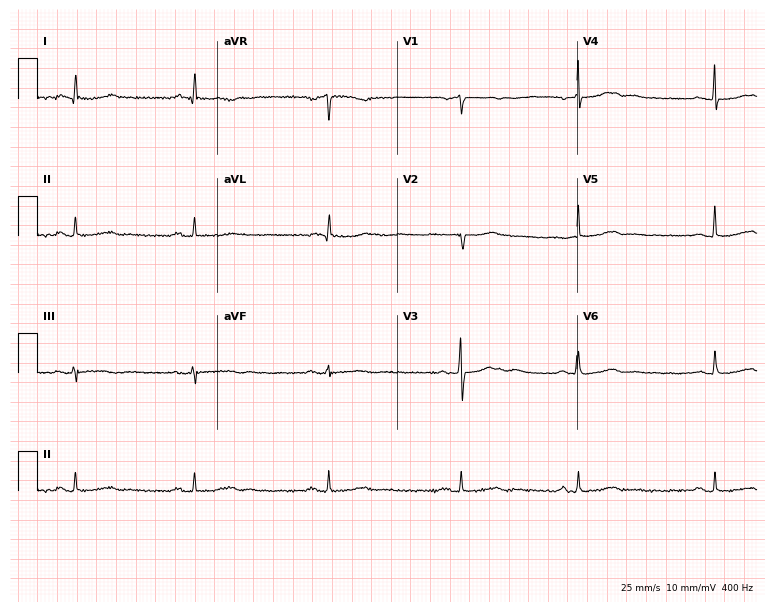
Electrocardiogram (7.3-second recording at 400 Hz), a 68-year-old woman. Of the six screened findings (first-degree AV block, right bundle branch block, left bundle branch block, sinus bradycardia, atrial fibrillation, sinus tachycardia), none is recorded.